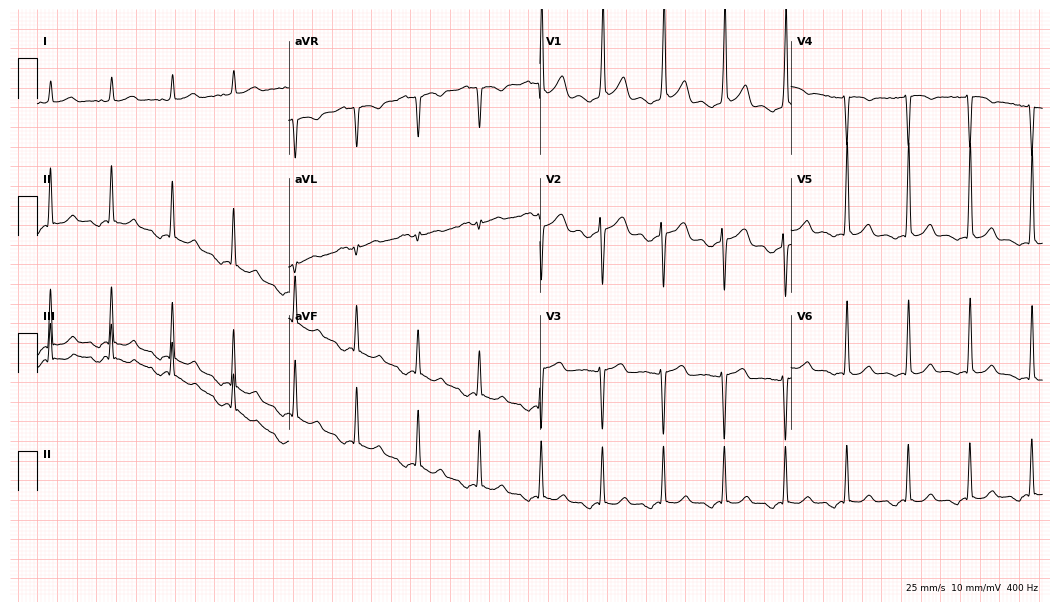
12-lead ECG from a man, 71 years old. No first-degree AV block, right bundle branch block, left bundle branch block, sinus bradycardia, atrial fibrillation or sinus tachycardia recorded for this tracing. Other findings, if any, are not listed.